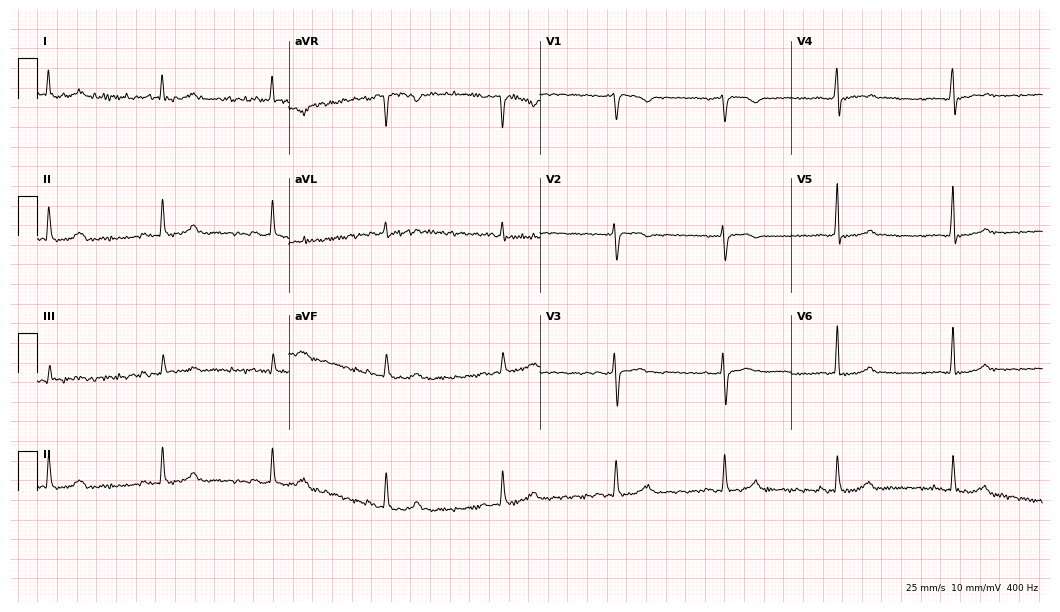
Resting 12-lead electrocardiogram. Patient: a 56-year-old woman. None of these six findings is recorded: first-degree AV block, right bundle branch block (RBBB), left bundle branch block (LBBB), sinus bradycardia, atrial fibrillation (AF), sinus tachycardia.